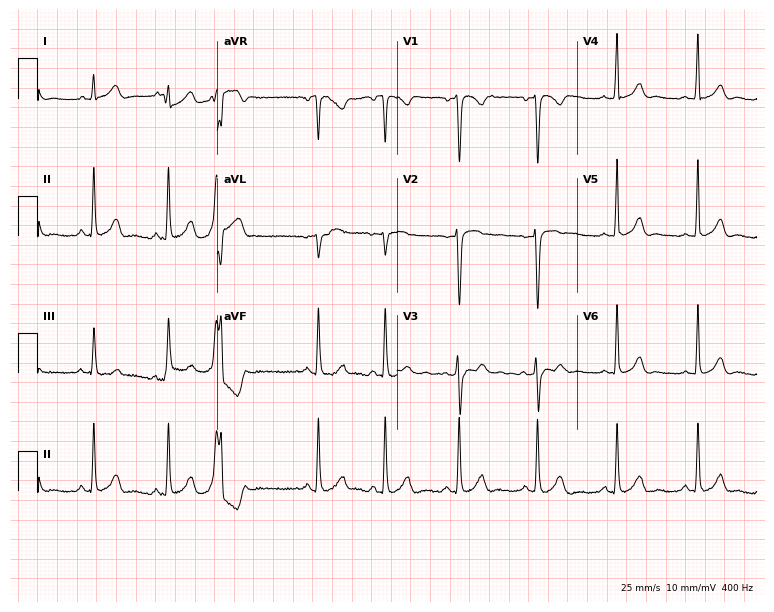
12-lead ECG from a 23-year-old female (7.3-second recording at 400 Hz). Recorded interpretation: within normal limits.